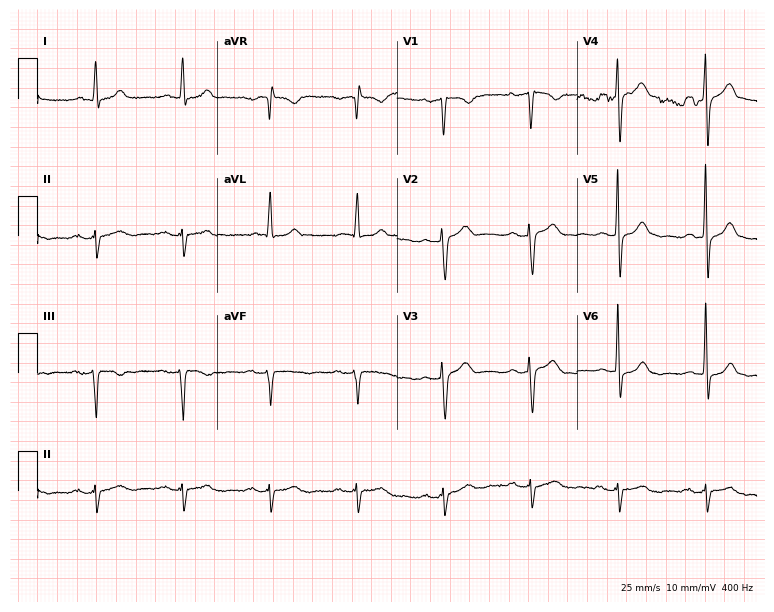
Resting 12-lead electrocardiogram. Patient: a man, 83 years old. Read as a normal ECG.